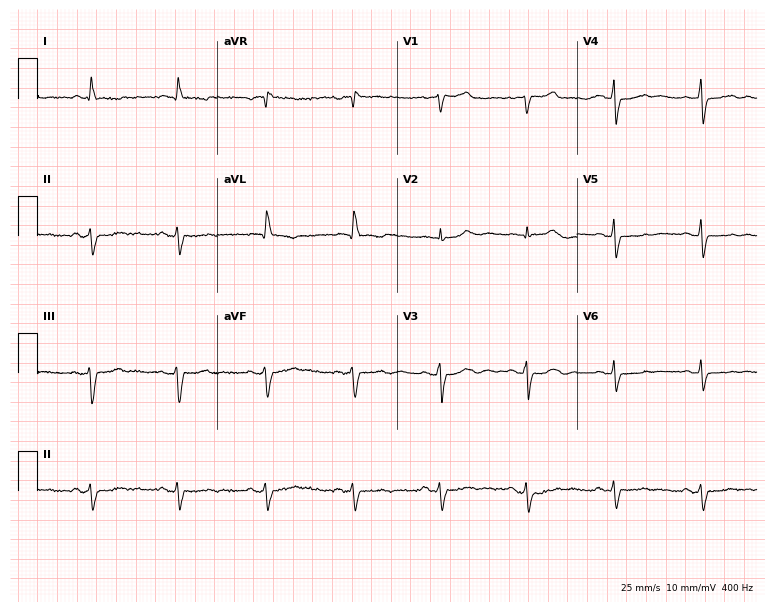
12-lead ECG (7.3-second recording at 400 Hz) from a 70-year-old female patient. Screened for six findings — first-degree AV block, right bundle branch block (RBBB), left bundle branch block (LBBB), sinus bradycardia, atrial fibrillation (AF), sinus tachycardia — none is recorded. Findings outside these six are not listed.